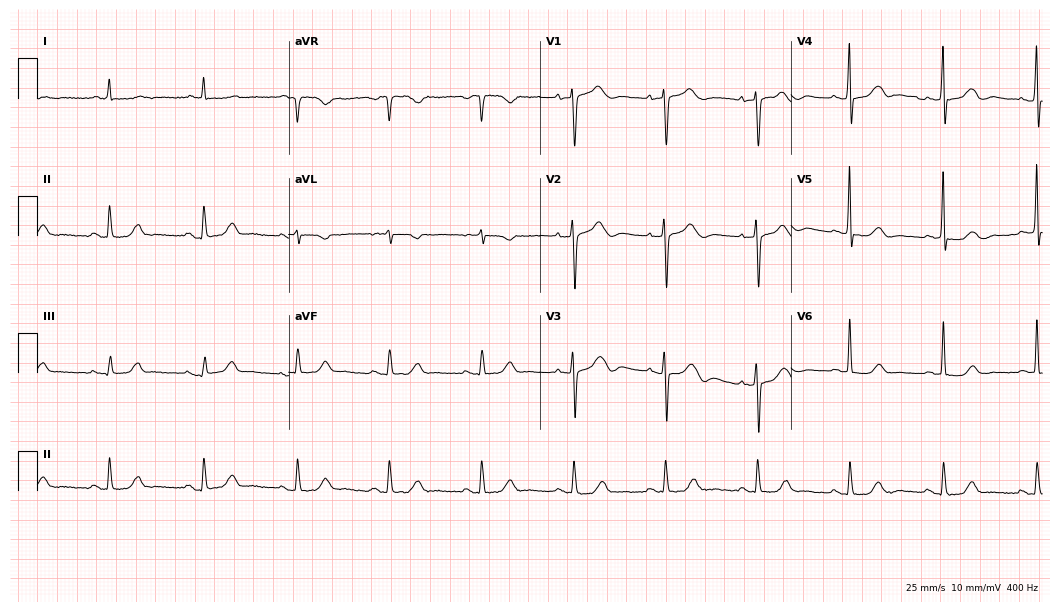
Electrocardiogram, an 85-year-old woman. Overall reading on record: normal ECG.